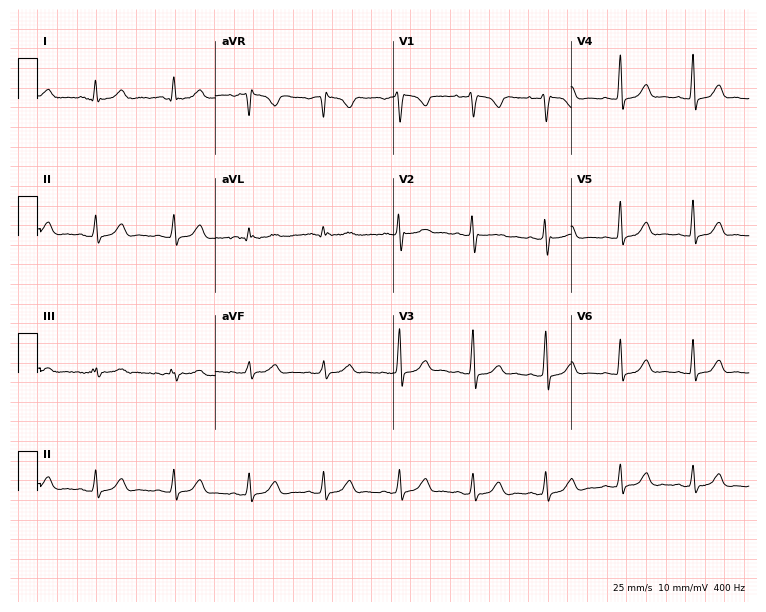
12-lead ECG from a 21-year-old female patient (7.3-second recording at 400 Hz). Recorded interpretation: within normal limits.